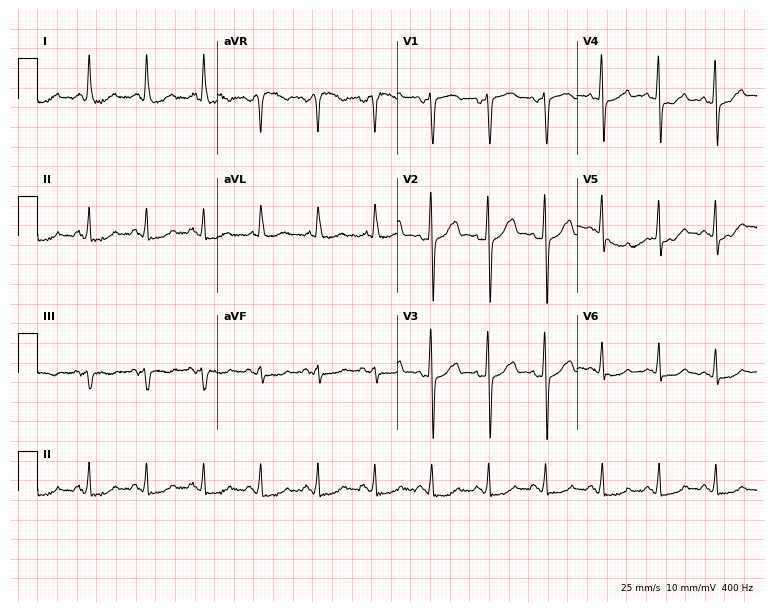
ECG (7.3-second recording at 400 Hz) — a female patient, 63 years old. Findings include sinus tachycardia (a sinus rate of 100 beats per minute or more).